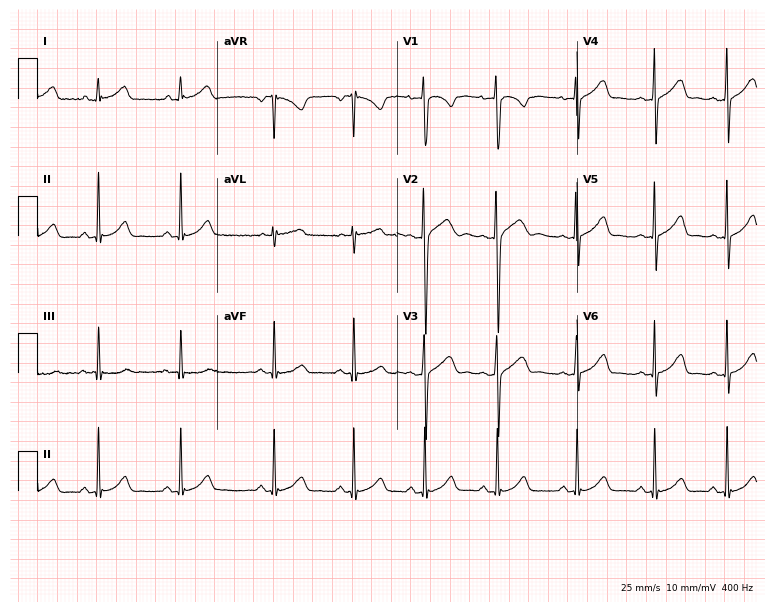
12-lead ECG (7.3-second recording at 400 Hz) from a female patient, 18 years old. Labelled as a normal ECG.